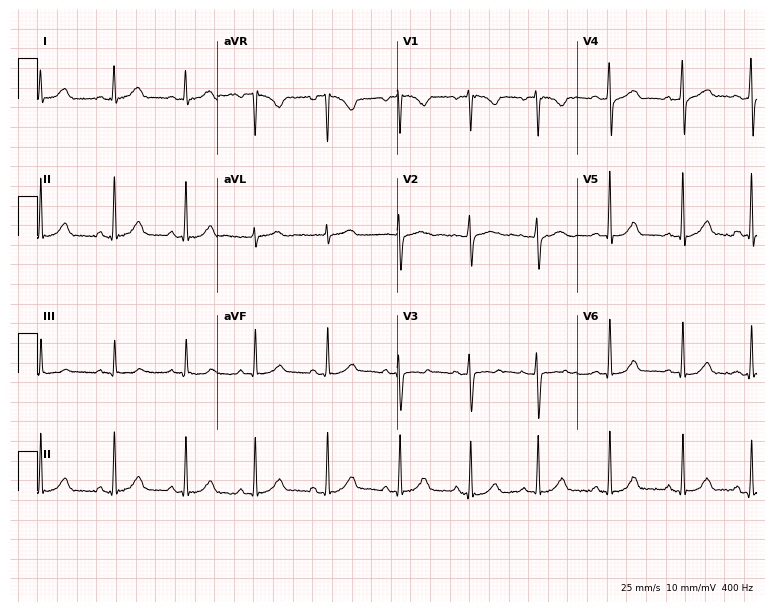
ECG (7.3-second recording at 400 Hz) — a woman, 28 years old. Labelled as a normal ECG.